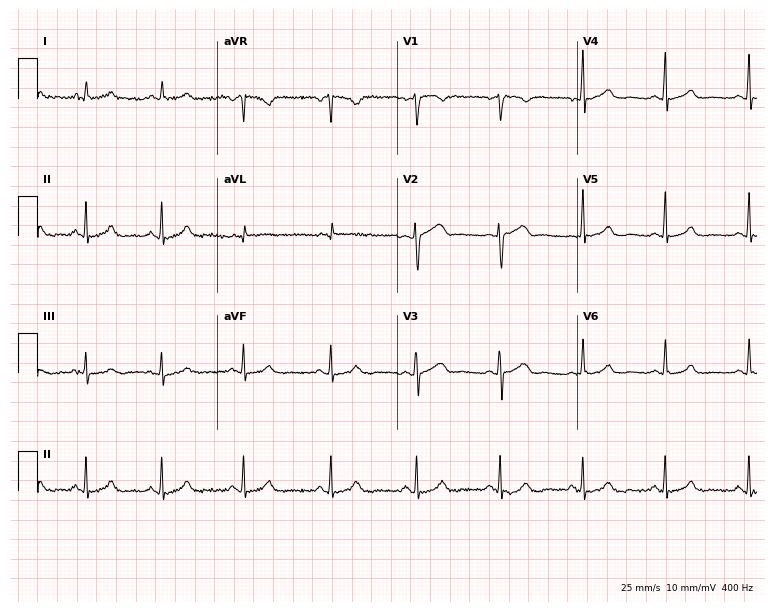
Electrocardiogram (7.3-second recording at 400 Hz), a woman, 52 years old. Overall reading on record: normal ECG.